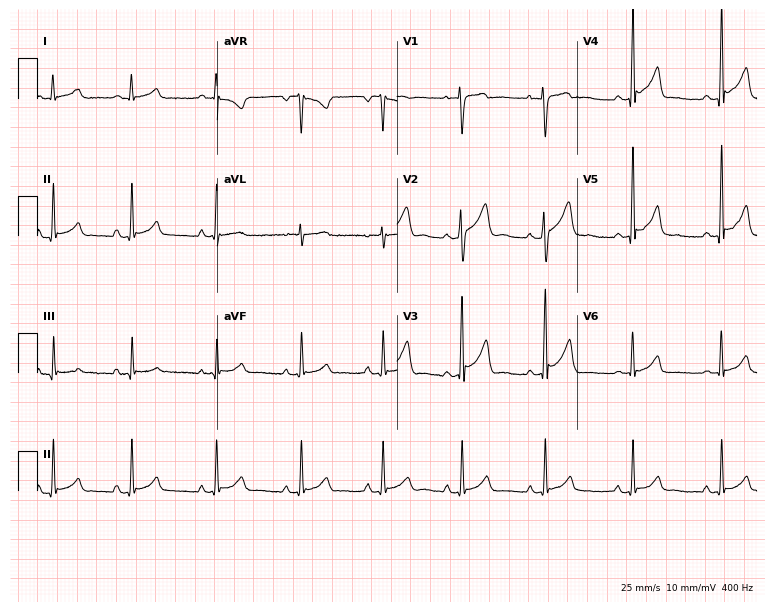
ECG — a male, 24 years old. Screened for six findings — first-degree AV block, right bundle branch block (RBBB), left bundle branch block (LBBB), sinus bradycardia, atrial fibrillation (AF), sinus tachycardia — none is recorded. Other findings, if any, are not listed.